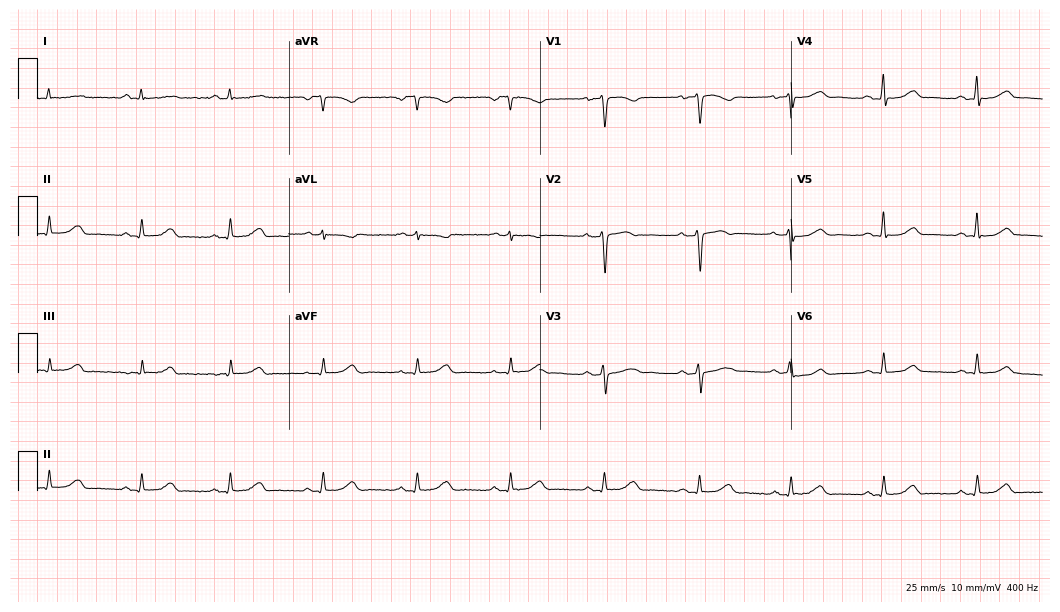
12-lead ECG from a female patient, 48 years old (10.2-second recording at 400 Hz). No first-degree AV block, right bundle branch block, left bundle branch block, sinus bradycardia, atrial fibrillation or sinus tachycardia recorded for this tracing.